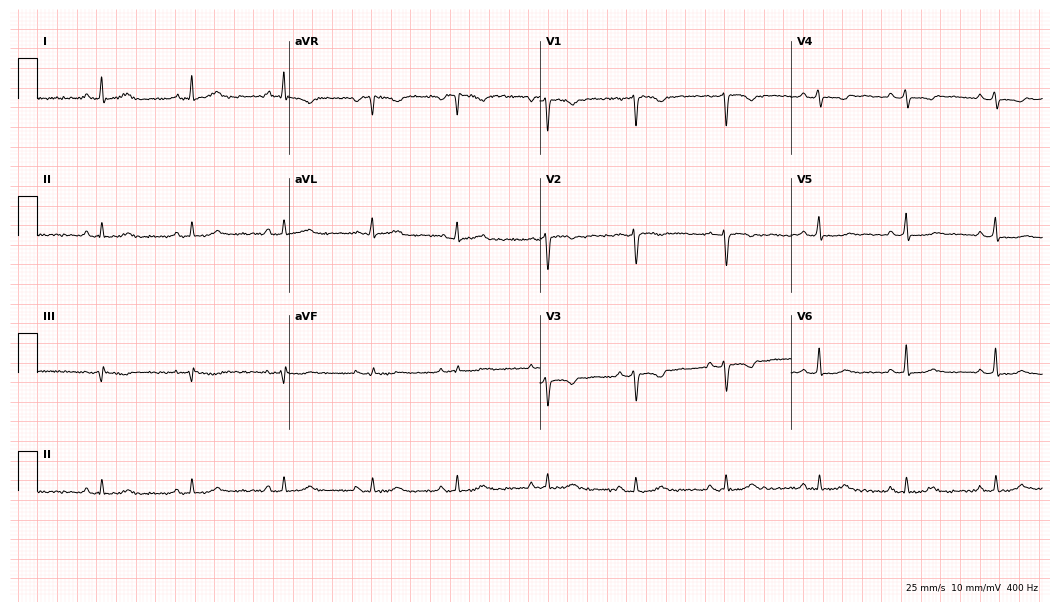
Standard 12-lead ECG recorded from a 43-year-old female (10.2-second recording at 400 Hz). None of these six findings is recorded: first-degree AV block, right bundle branch block, left bundle branch block, sinus bradycardia, atrial fibrillation, sinus tachycardia.